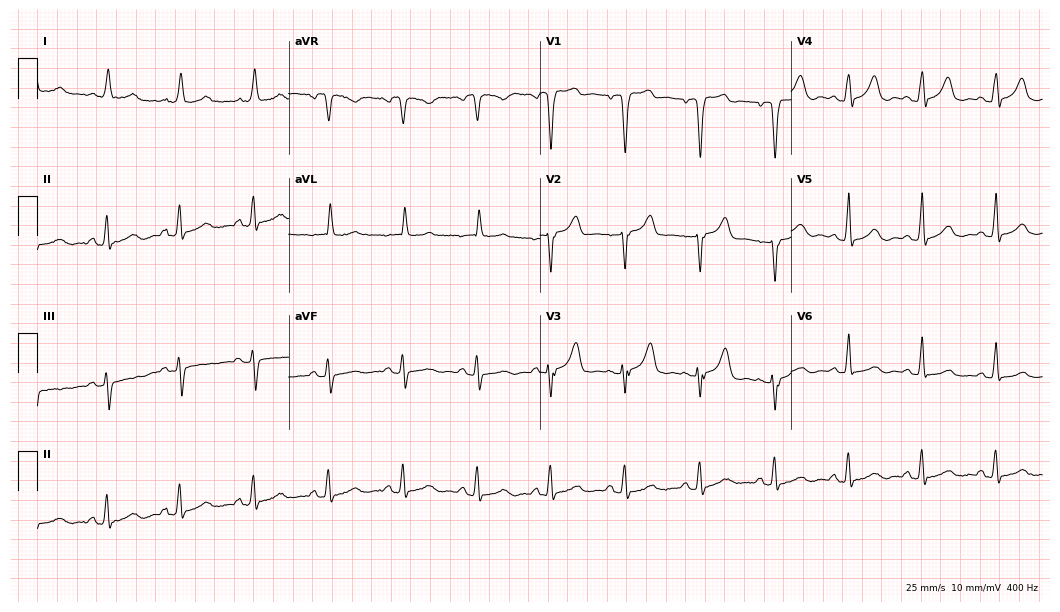
12-lead ECG from a 77-year-old woman. No first-degree AV block, right bundle branch block (RBBB), left bundle branch block (LBBB), sinus bradycardia, atrial fibrillation (AF) or sinus tachycardia recorded for this tracing. Findings outside these six are not listed.